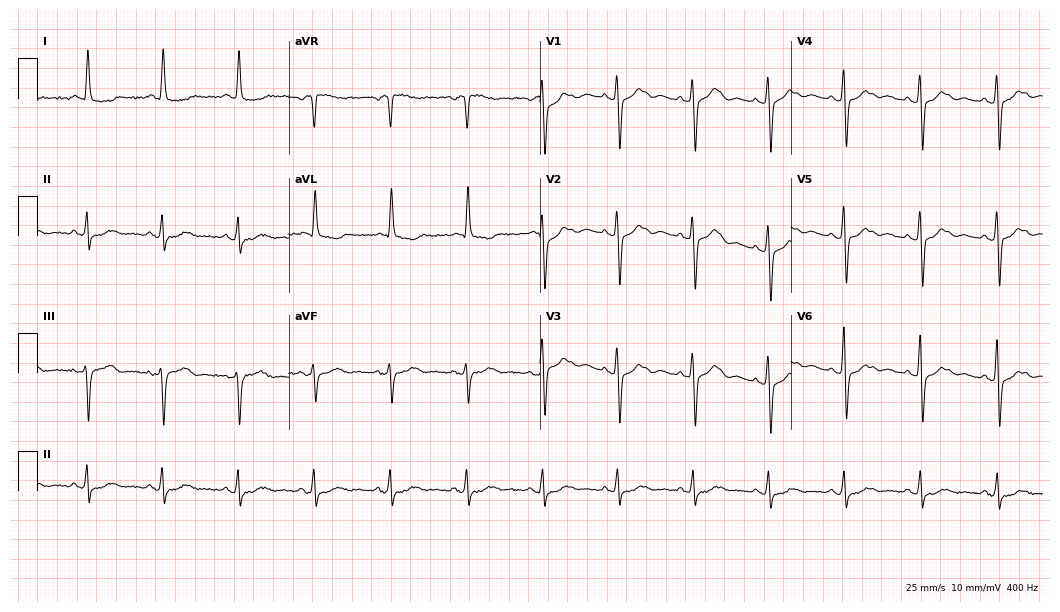
Standard 12-lead ECG recorded from a 63-year-old female (10.2-second recording at 400 Hz). None of these six findings is recorded: first-degree AV block, right bundle branch block, left bundle branch block, sinus bradycardia, atrial fibrillation, sinus tachycardia. Findings outside these six are not listed.